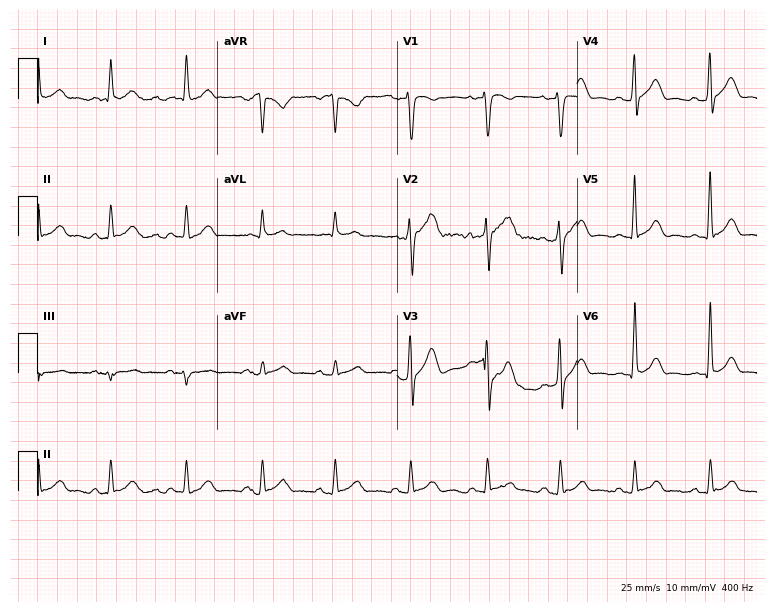
Resting 12-lead electrocardiogram. Patient: a male, 49 years old. None of these six findings is recorded: first-degree AV block, right bundle branch block, left bundle branch block, sinus bradycardia, atrial fibrillation, sinus tachycardia. Findings outside these six are not listed.